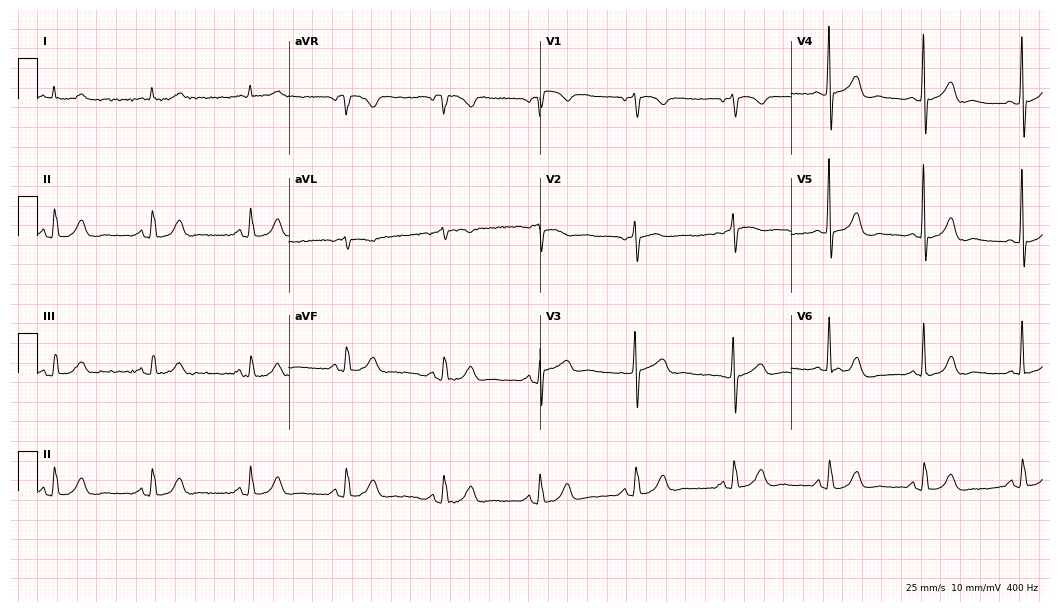
ECG (10.2-second recording at 400 Hz) — an 81-year-old man. Labelled as a normal ECG.